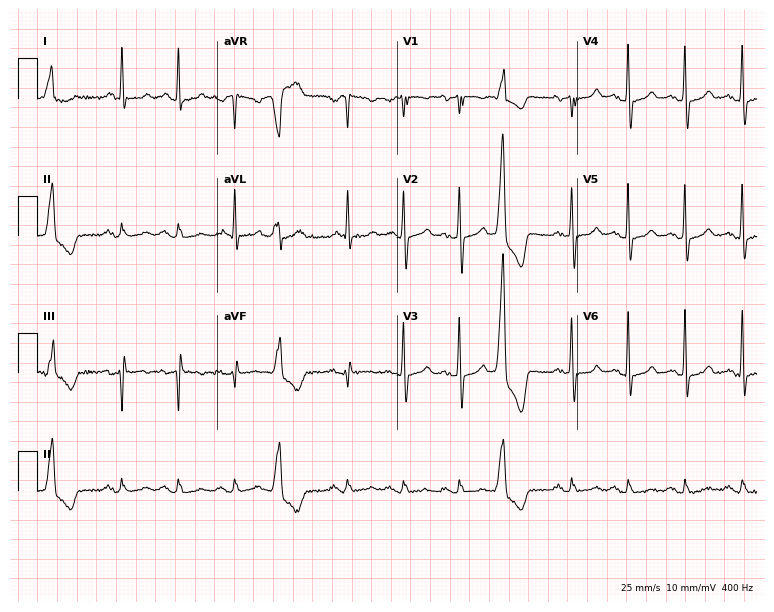
12-lead ECG from a male patient, 74 years old. No first-degree AV block, right bundle branch block (RBBB), left bundle branch block (LBBB), sinus bradycardia, atrial fibrillation (AF) or sinus tachycardia recorded for this tracing.